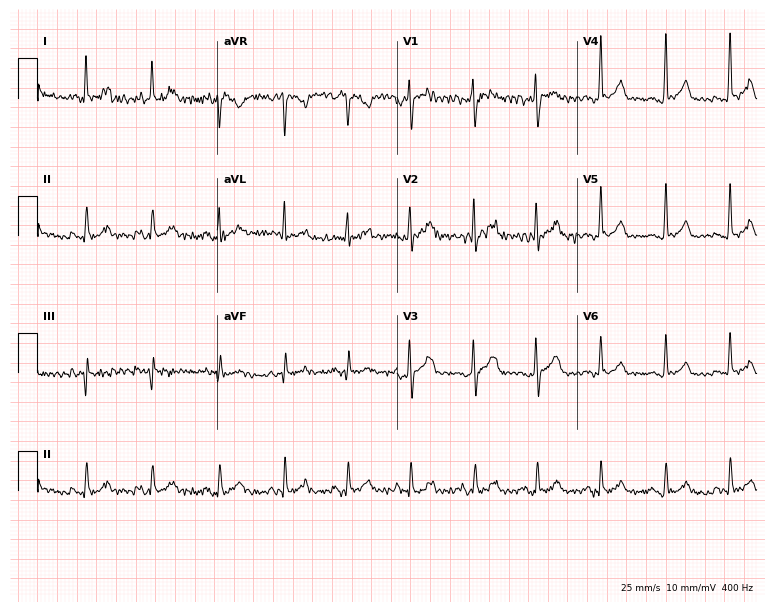
ECG — a 33-year-old woman. Labelled as a normal ECG.